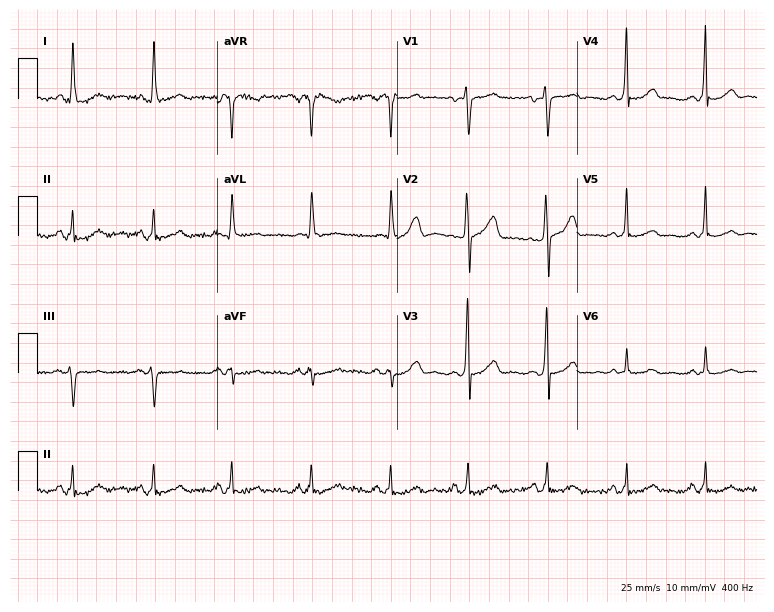
Electrocardiogram, a 51-year-old female. Of the six screened findings (first-degree AV block, right bundle branch block, left bundle branch block, sinus bradycardia, atrial fibrillation, sinus tachycardia), none is recorded. Findings outside these six are not listed.